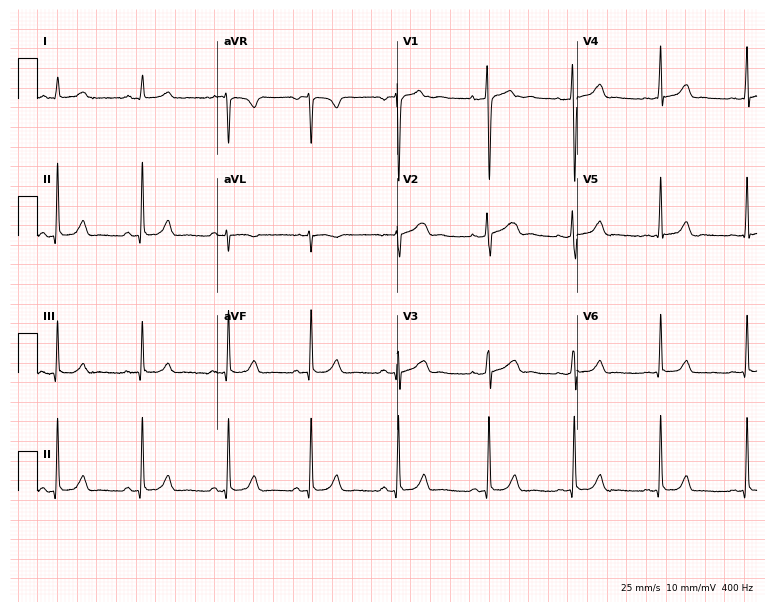
ECG (7.3-second recording at 400 Hz) — a 17-year-old woman. Labelled as a normal ECG.